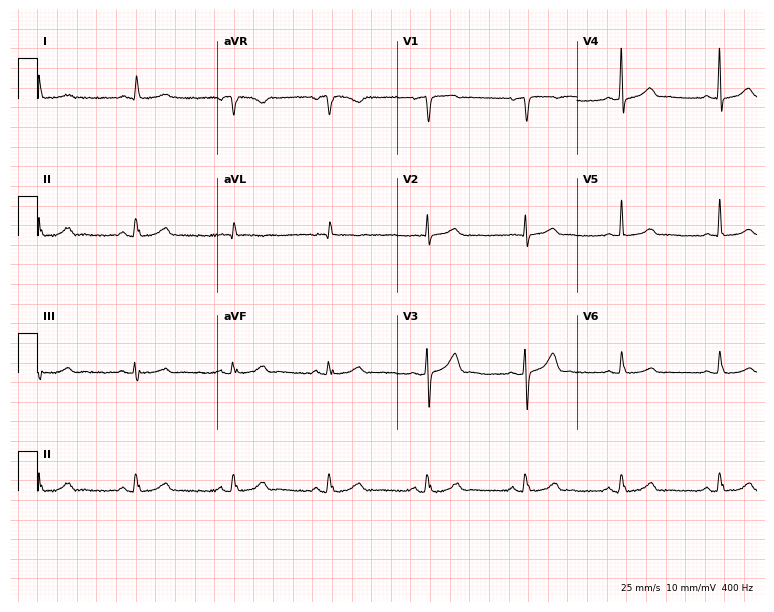
Electrocardiogram (7.3-second recording at 400 Hz), a female, 62 years old. Overall reading on record: normal ECG.